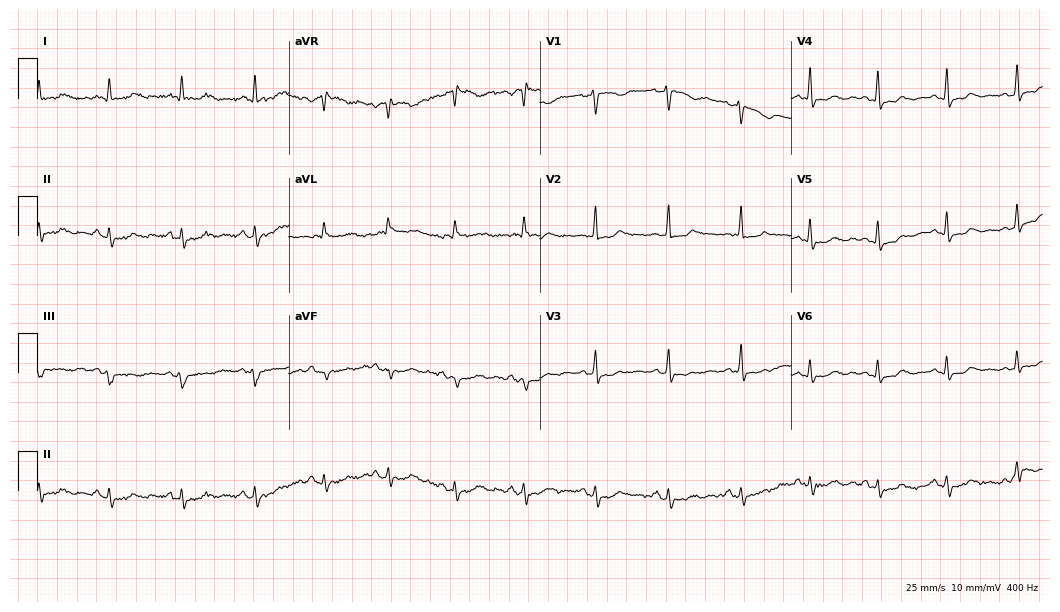
12-lead ECG from a female patient, 41 years old. Screened for six findings — first-degree AV block, right bundle branch block (RBBB), left bundle branch block (LBBB), sinus bradycardia, atrial fibrillation (AF), sinus tachycardia — none is recorded.